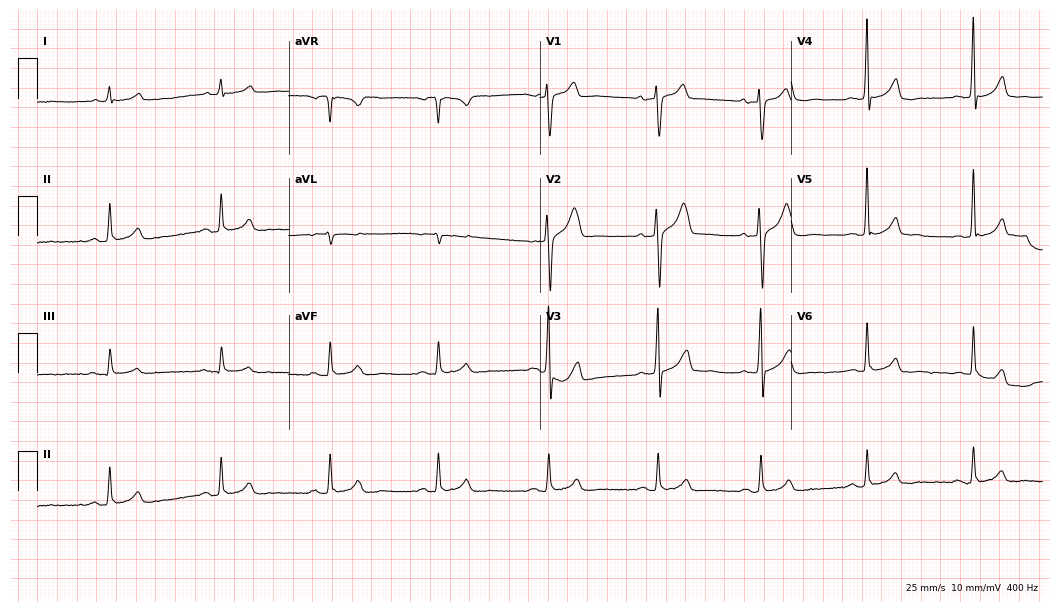
ECG (10.2-second recording at 400 Hz) — a man, 53 years old. Labelled as a normal ECG.